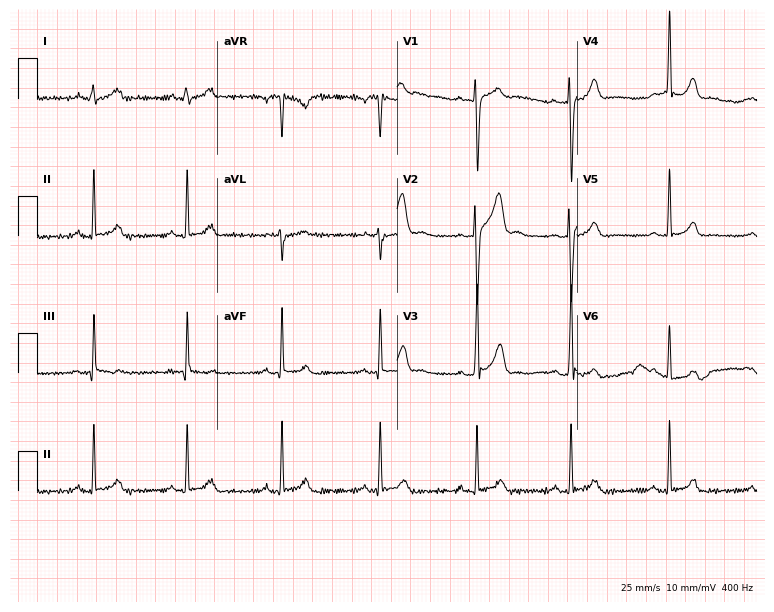
ECG — a male patient, 20 years old. Labelled as a normal ECG.